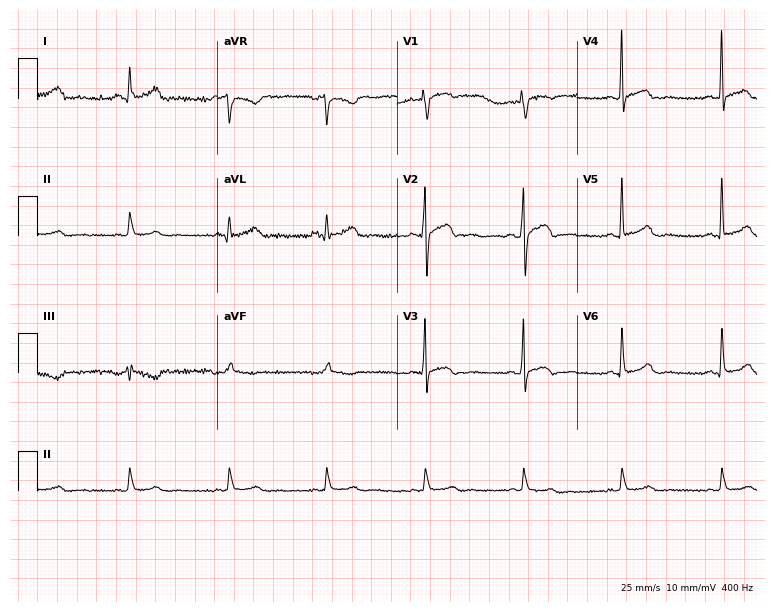
Standard 12-lead ECG recorded from a man, 29 years old (7.3-second recording at 400 Hz). Read as a normal ECG.